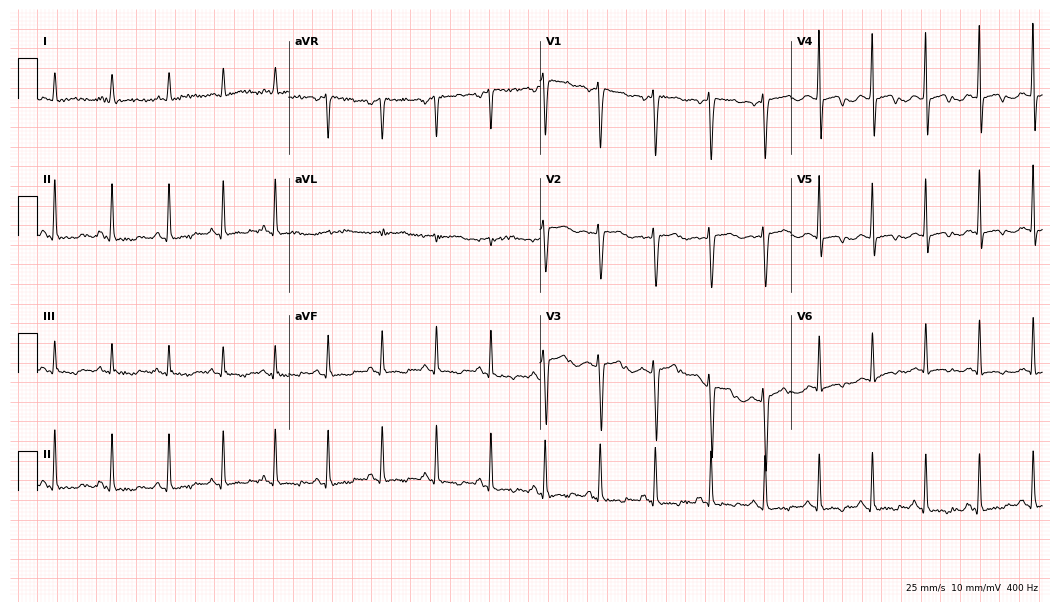
ECG (10.2-second recording at 400 Hz) — a female patient, 42 years old. Findings include sinus tachycardia (a sinus rate of 100 beats per minute or more).